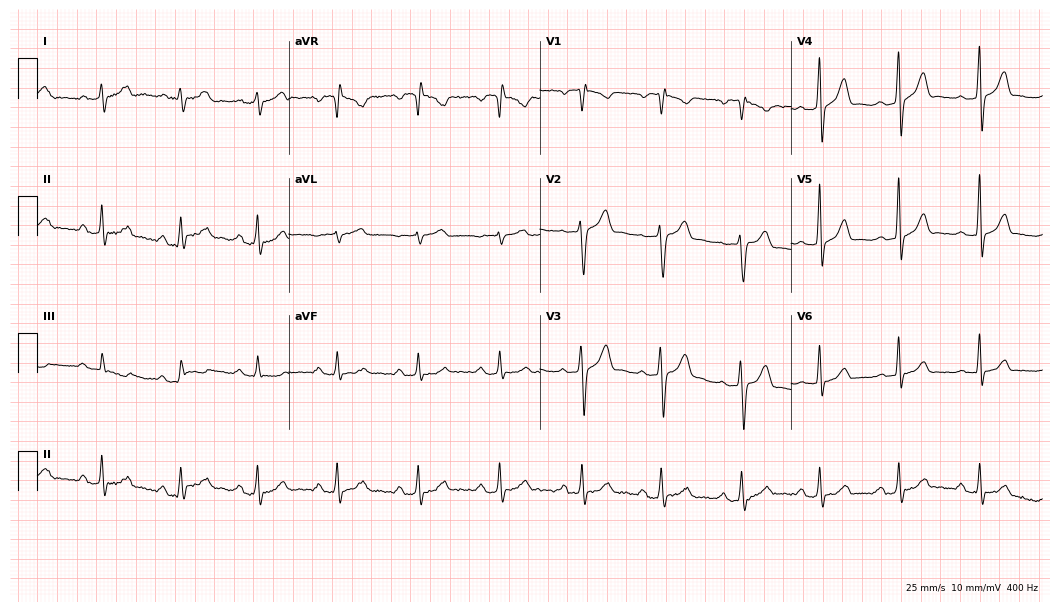
12-lead ECG (10.2-second recording at 400 Hz) from a male patient, 39 years old. Labelled as a normal ECG.